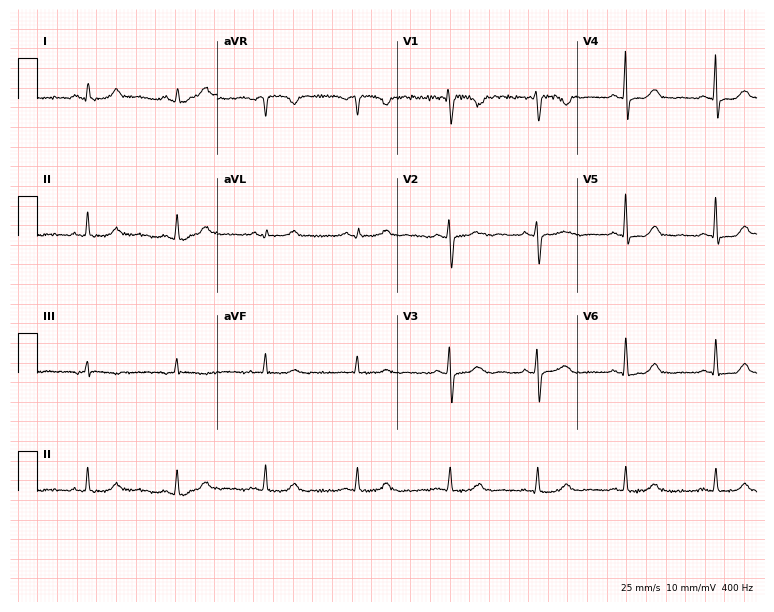
Resting 12-lead electrocardiogram (7.3-second recording at 400 Hz). Patient: a 46-year-old female. None of these six findings is recorded: first-degree AV block, right bundle branch block, left bundle branch block, sinus bradycardia, atrial fibrillation, sinus tachycardia.